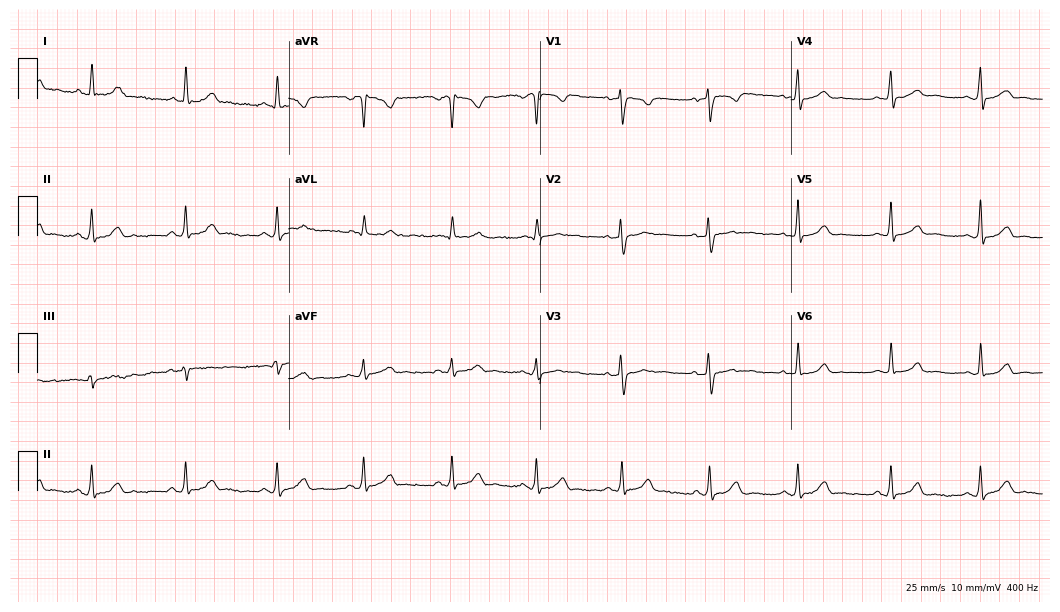
ECG — a woman, 49 years old. Labelled as a normal ECG.